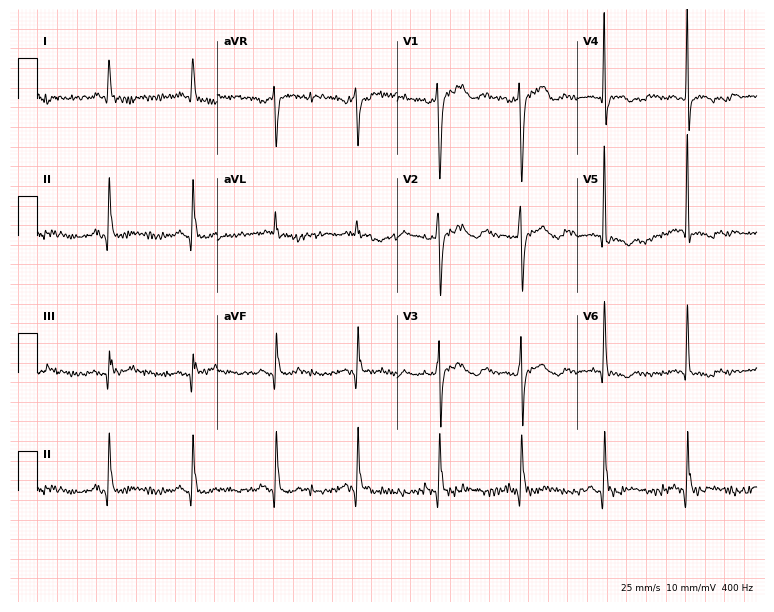
ECG (7.3-second recording at 400 Hz) — an 85-year-old man. Screened for six findings — first-degree AV block, right bundle branch block (RBBB), left bundle branch block (LBBB), sinus bradycardia, atrial fibrillation (AF), sinus tachycardia — none is recorded. Only these six findings were labelled.